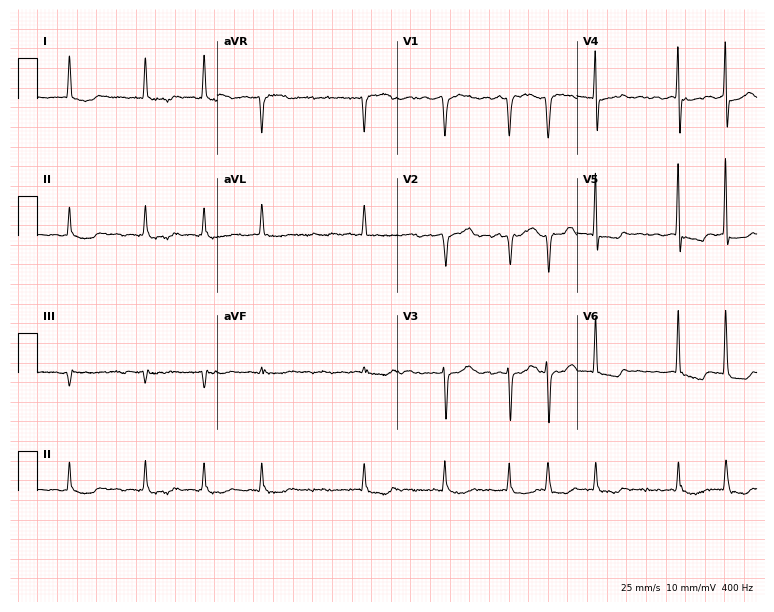
Resting 12-lead electrocardiogram (7.3-second recording at 400 Hz). Patient: a female, 87 years old. The tracing shows atrial fibrillation.